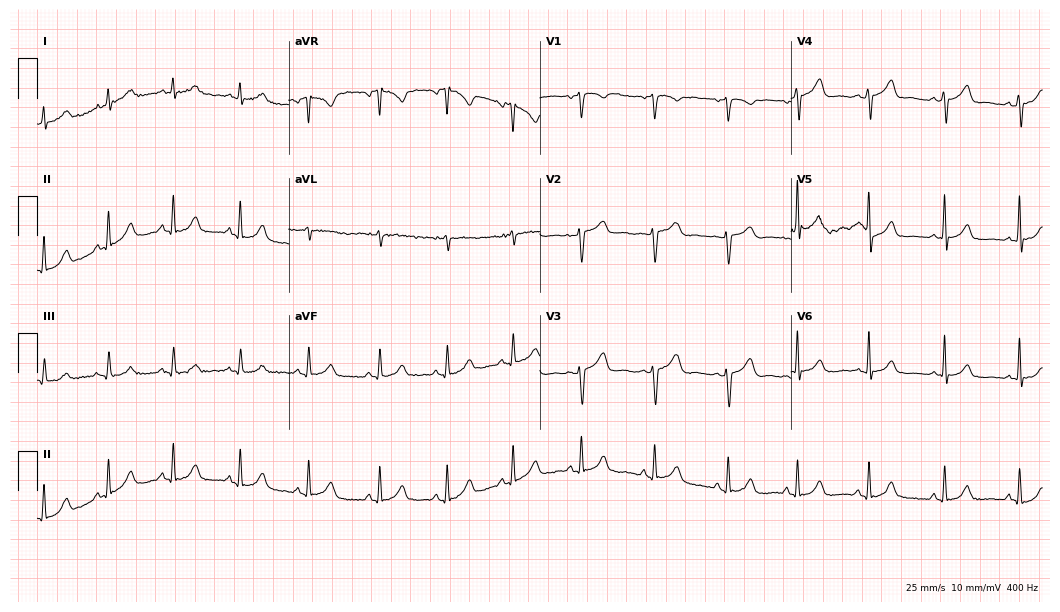
12-lead ECG from a female, 48 years old (10.2-second recording at 400 Hz). No first-degree AV block, right bundle branch block, left bundle branch block, sinus bradycardia, atrial fibrillation or sinus tachycardia recorded for this tracing. Only these six findings were labelled.